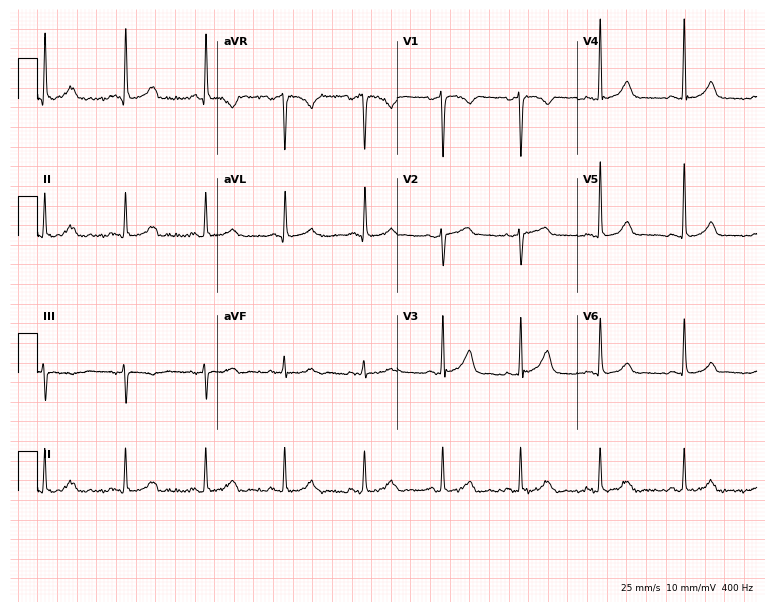
12-lead ECG from a 42-year-old woman. Labelled as a normal ECG.